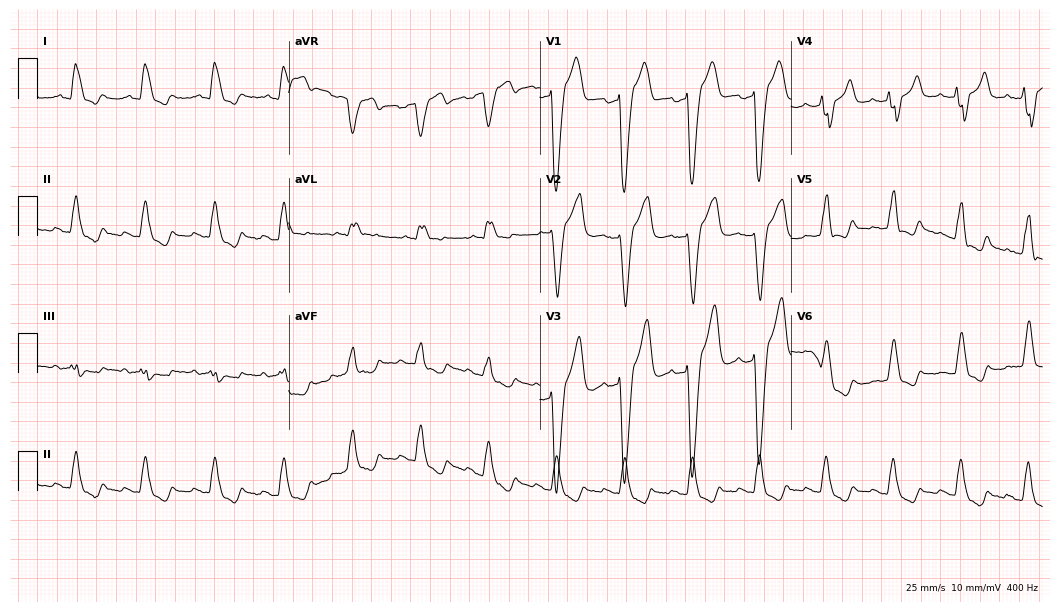
12-lead ECG (10.2-second recording at 400 Hz) from a male, 67 years old. Findings include left bundle branch block.